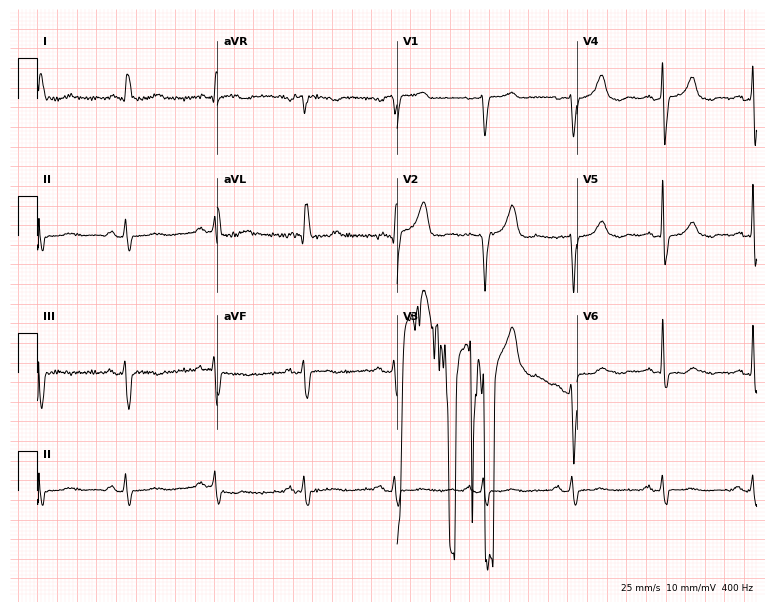
ECG (7.3-second recording at 400 Hz) — a woman, 67 years old. Screened for six findings — first-degree AV block, right bundle branch block (RBBB), left bundle branch block (LBBB), sinus bradycardia, atrial fibrillation (AF), sinus tachycardia — none is recorded.